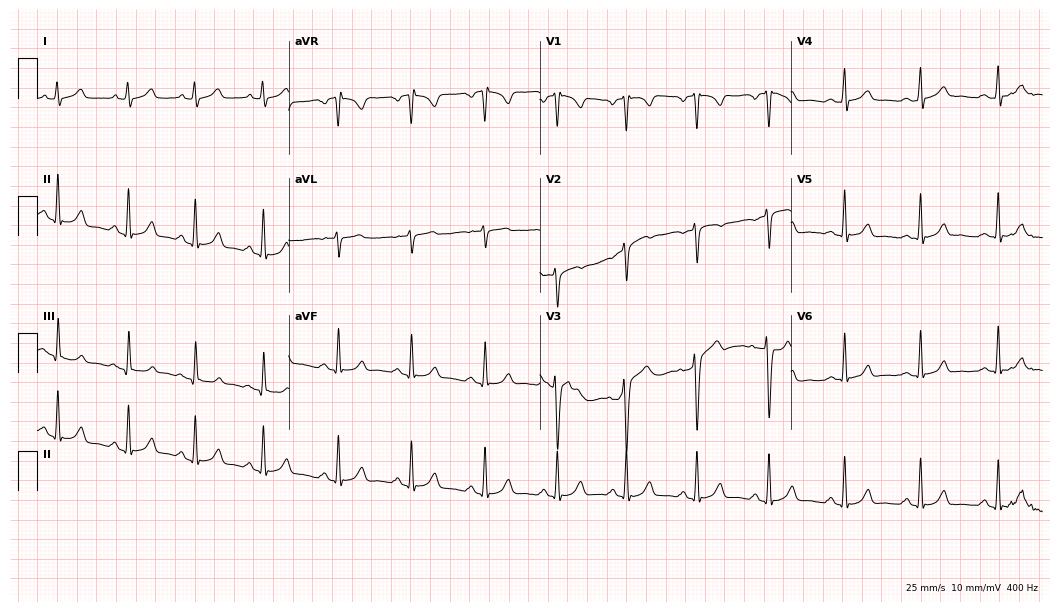
Resting 12-lead electrocardiogram (10.2-second recording at 400 Hz). Patient: a woman, 30 years old. None of these six findings is recorded: first-degree AV block, right bundle branch block, left bundle branch block, sinus bradycardia, atrial fibrillation, sinus tachycardia. Findings outside these six are not listed.